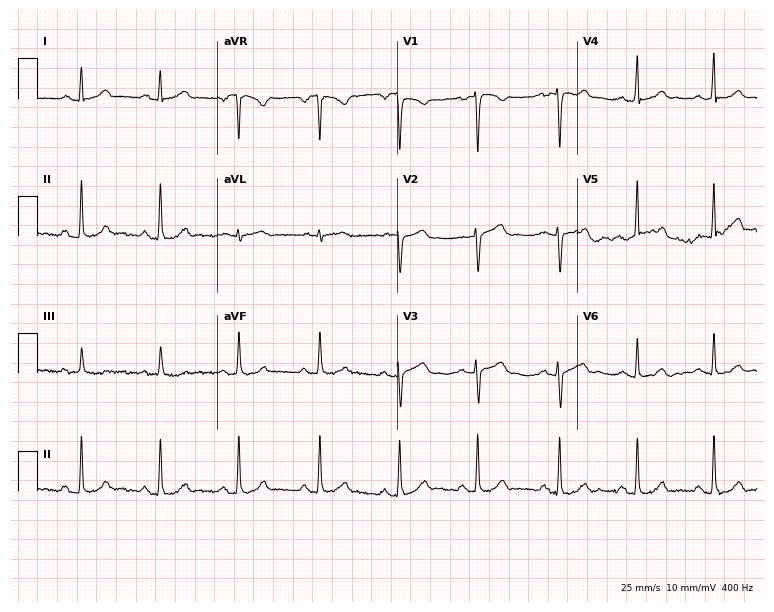
12-lead ECG from a female patient, 37 years old. Labelled as a normal ECG.